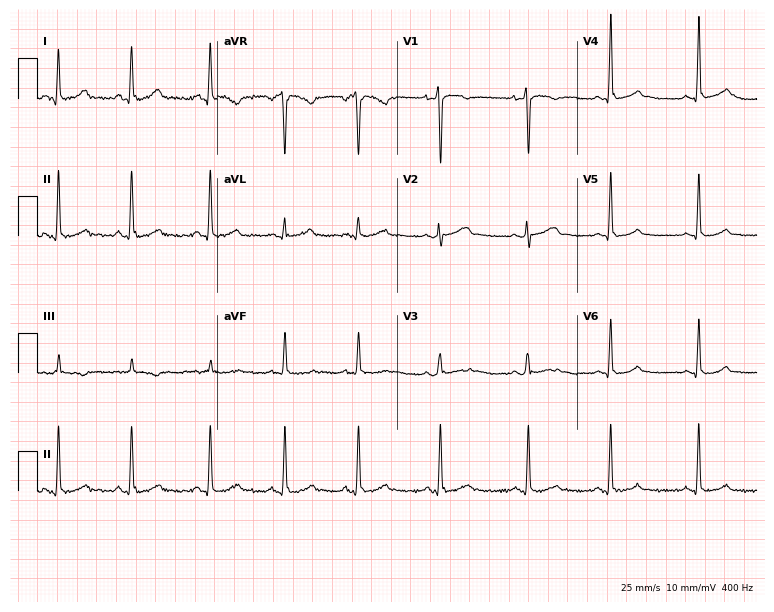
Standard 12-lead ECG recorded from a female patient, 18 years old. Read as a normal ECG.